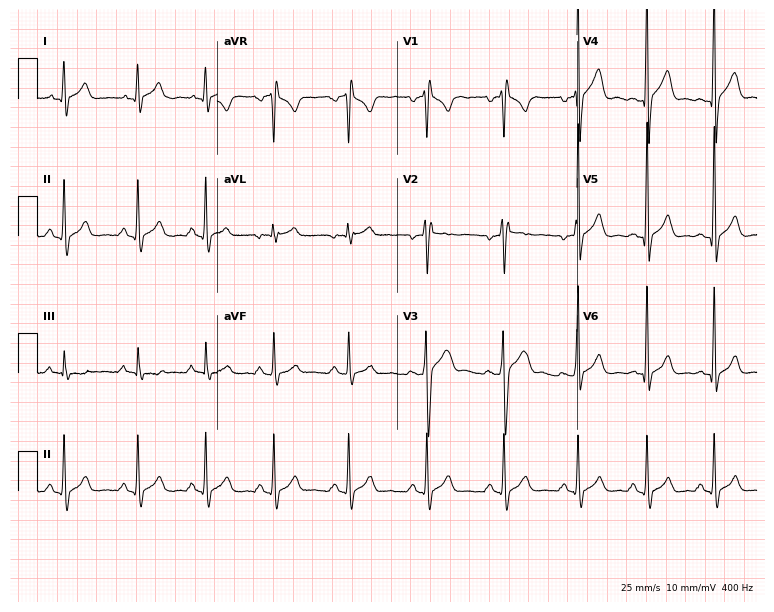
12-lead ECG from a male patient, 20 years old (7.3-second recording at 400 Hz). No first-degree AV block, right bundle branch block (RBBB), left bundle branch block (LBBB), sinus bradycardia, atrial fibrillation (AF) or sinus tachycardia recorded for this tracing.